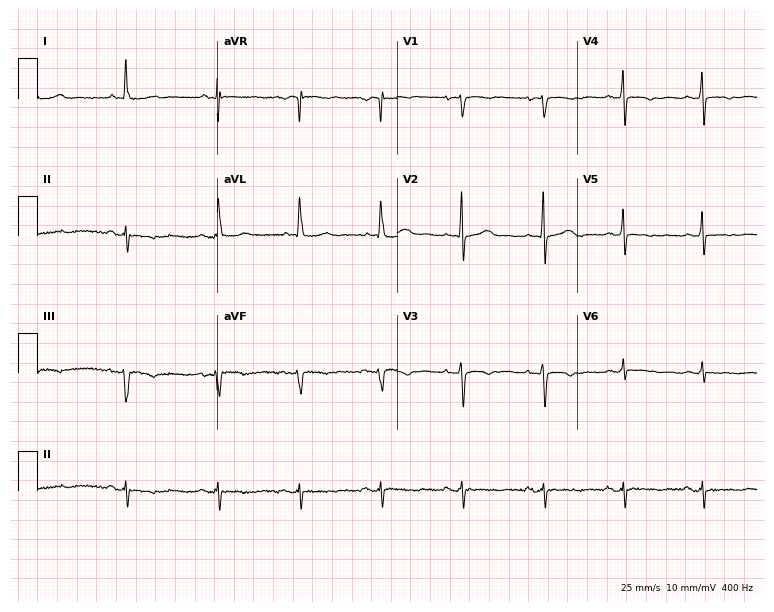
12-lead ECG (7.3-second recording at 400 Hz) from a 65-year-old female patient. Screened for six findings — first-degree AV block, right bundle branch block, left bundle branch block, sinus bradycardia, atrial fibrillation, sinus tachycardia — none is recorded. Findings outside these six are not listed.